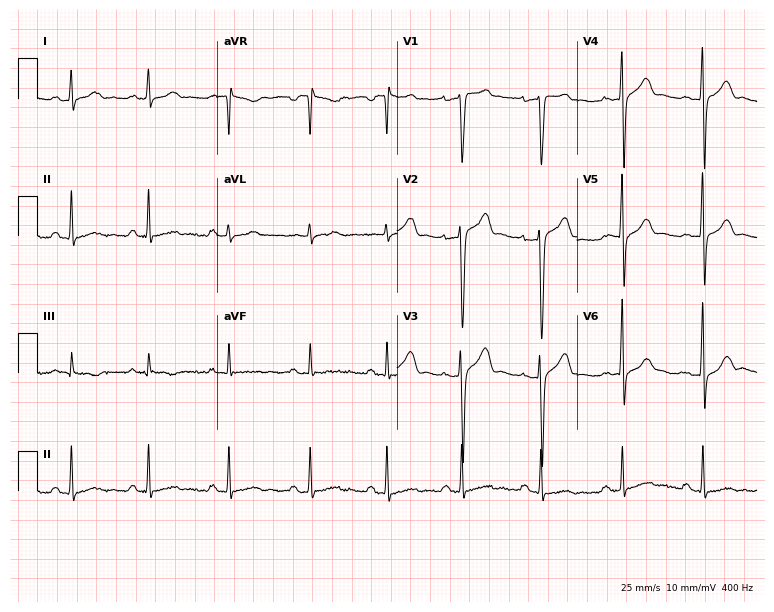
Resting 12-lead electrocardiogram (7.3-second recording at 400 Hz). Patient: a man, 31 years old. None of these six findings is recorded: first-degree AV block, right bundle branch block, left bundle branch block, sinus bradycardia, atrial fibrillation, sinus tachycardia.